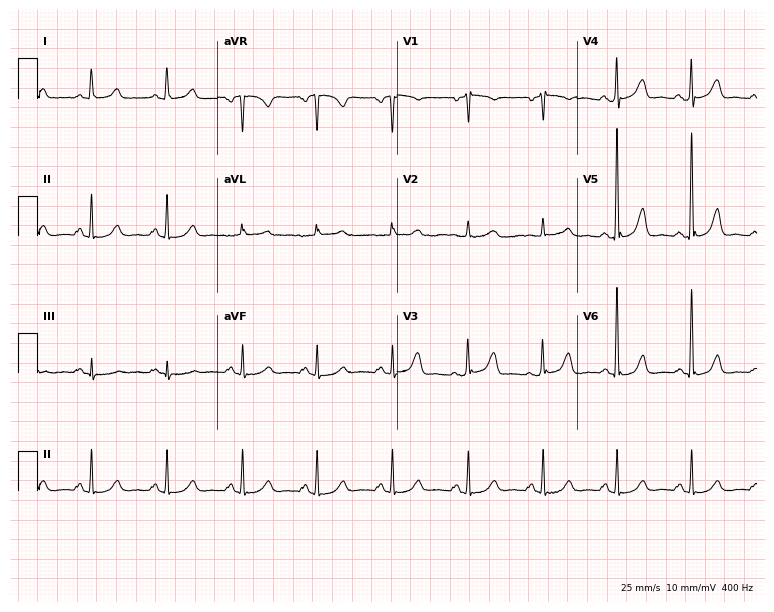
Standard 12-lead ECG recorded from a 71-year-old female. None of these six findings is recorded: first-degree AV block, right bundle branch block, left bundle branch block, sinus bradycardia, atrial fibrillation, sinus tachycardia.